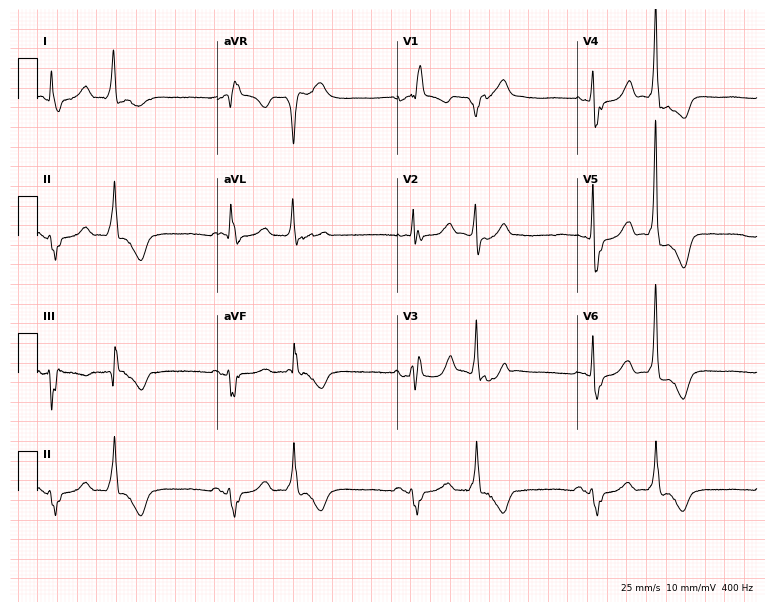
Resting 12-lead electrocardiogram. Patient: a woman, 81 years old. None of these six findings is recorded: first-degree AV block, right bundle branch block, left bundle branch block, sinus bradycardia, atrial fibrillation, sinus tachycardia. Other findings, if any, are not listed.